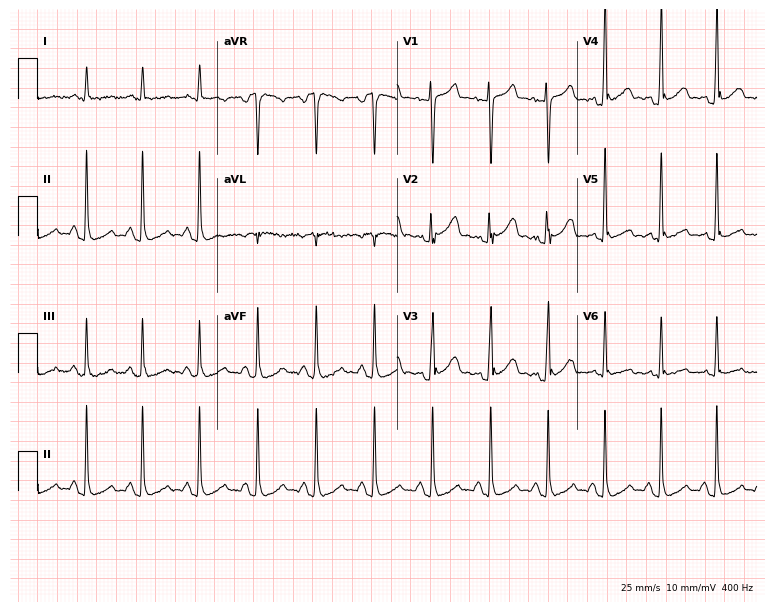
Standard 12-lead ECG recorded from a 50-year-old man (7.3-second recording at 400 Hz). The tracing shows sinus tachycardia (a sinus rate of 100 beats per minute or more).